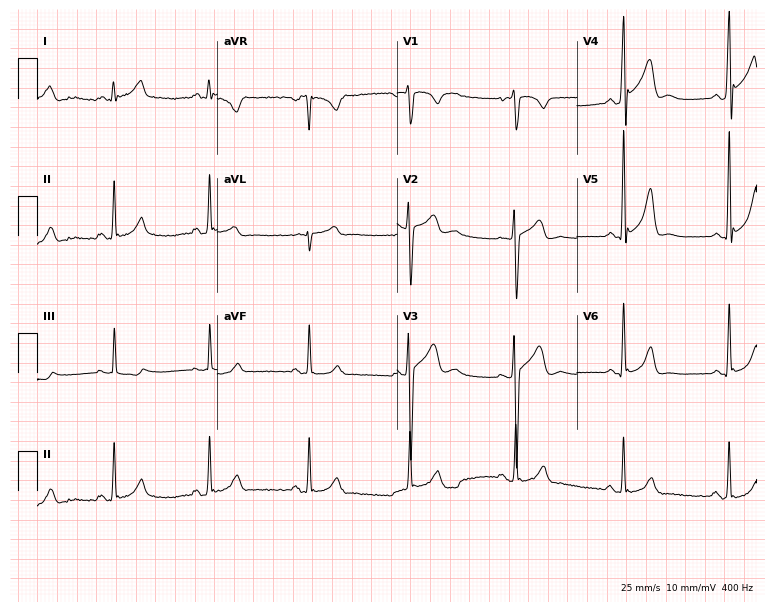
Resting 12-lead electrocardiogram (7.3-second recording at 400 Hz). Patient: a male, 32 years old. None of these six findings is recorded: first-degree AV block, right bundle branch block, left bundle branch block, sinus bradycardia, atrial fibrillation, sinus tachycardia. Findings outside these six are not listed.